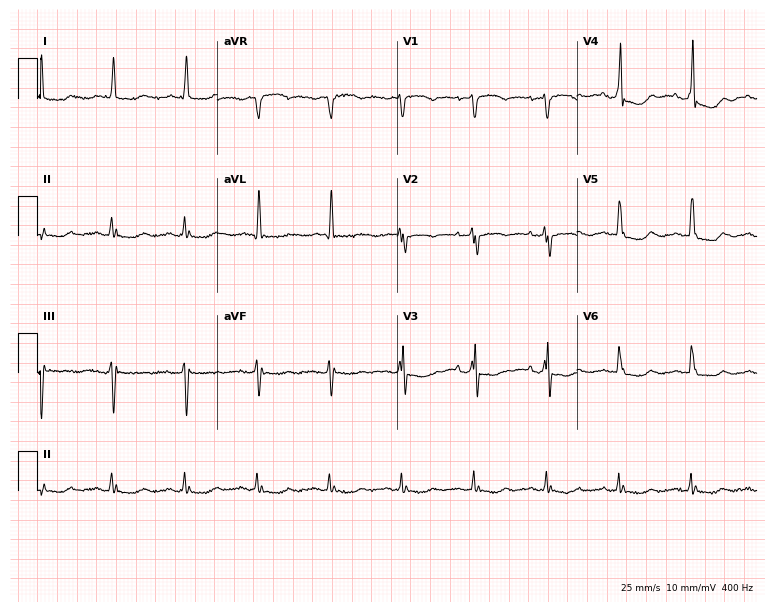
Resting 12-lead electrocardiogram (7.3-second recording at 400 Hz). Patient: a female, 79 years old. None of these six findings is recorded: first-degree AV block, right bundle branch block, left bundle branch block, sinus bradycardia, atrial fibrillation, sinus tachycardia. Other findings, if any, are not listed.